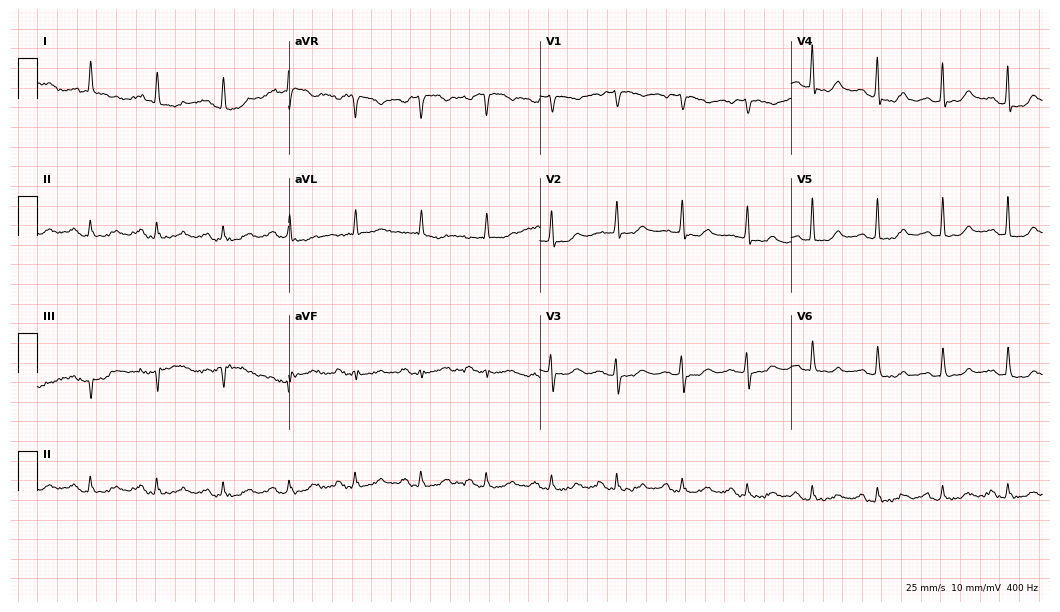
ECG (10.2-second recording at 400 Hz) — a woman, 86 years old. Labelled as a normal ECG.